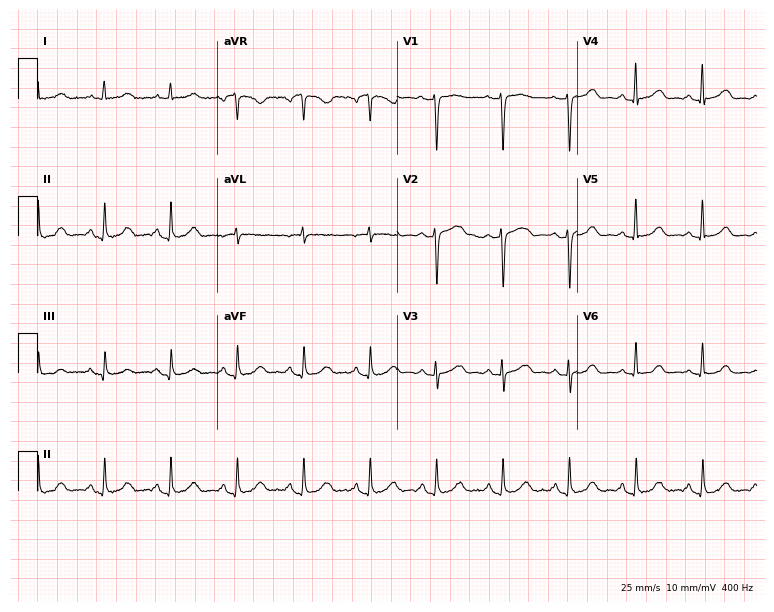
Resting 12-lead electrocardiogram. Patient: a 56-year-old female. Read as a normal ECG.